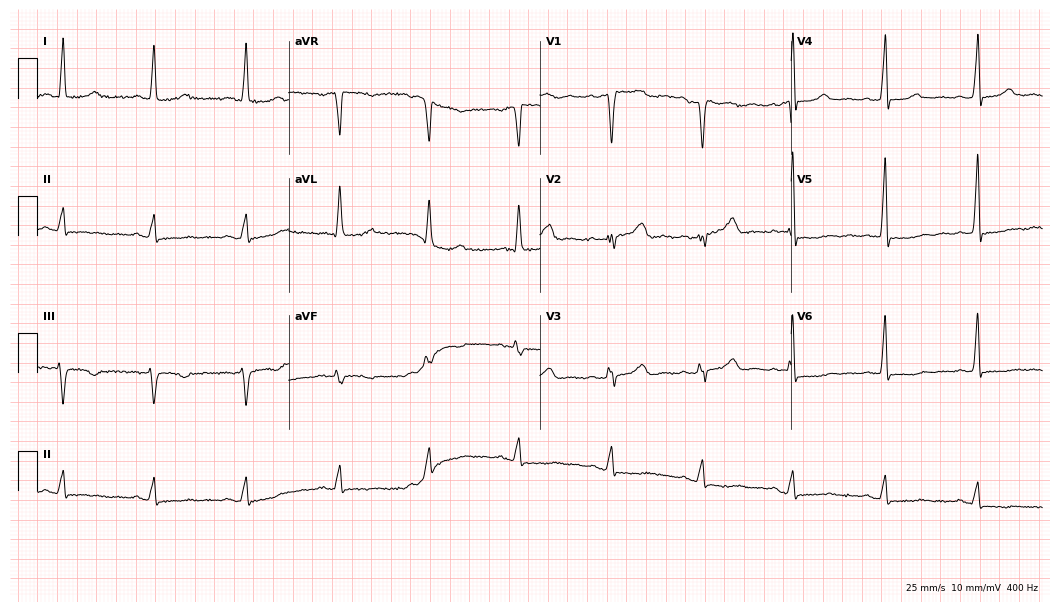
ECG (10.2-second recording at 400 Hz) — a 42-year-old female patient. Screened for six findings — first-degree AV block, right bundle branch block, left bundle branch block, sinus bradycardia, atrial fibrillation, sinus tachycardia — none is recorded.